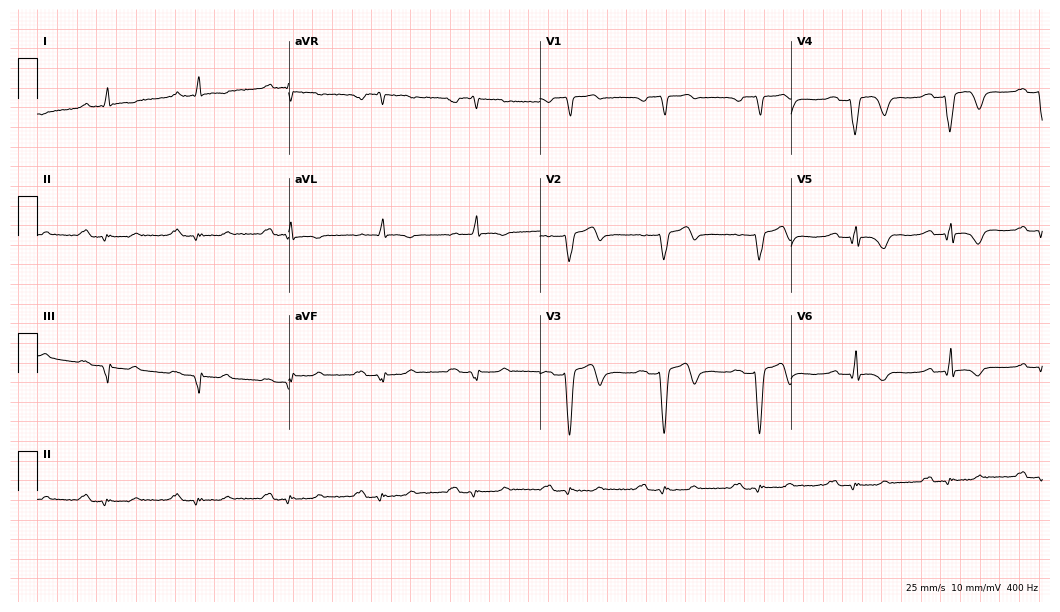
ECG — a 57-year-old male. Screened for six findings — first-degree AV block, right bundle branch block (RBBB), left bundle branch block (LBBB), sinus bradycardia, atrial fibrillation (AF), sinus tachycardia — none is recorded. Findings outside these six are not listed.